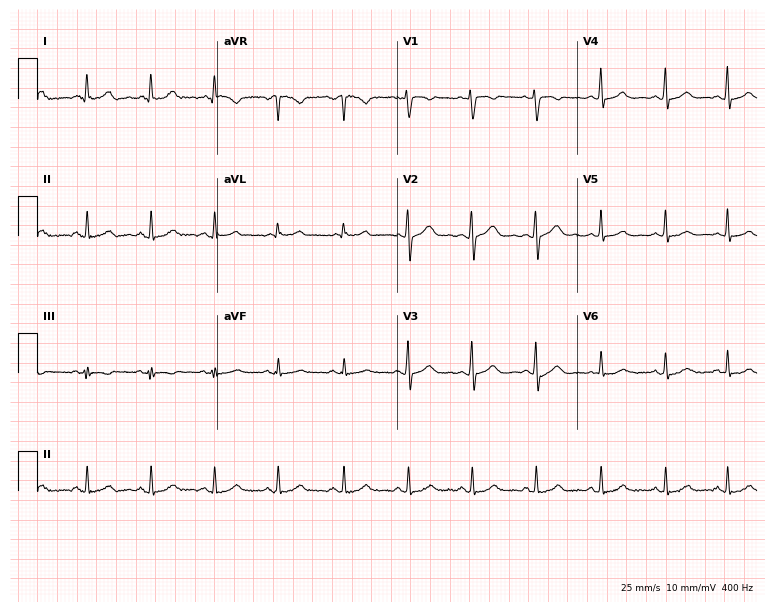
Standard 12-lead ECG recorded from a 42-year-old female patient. Read as a normal ECG.